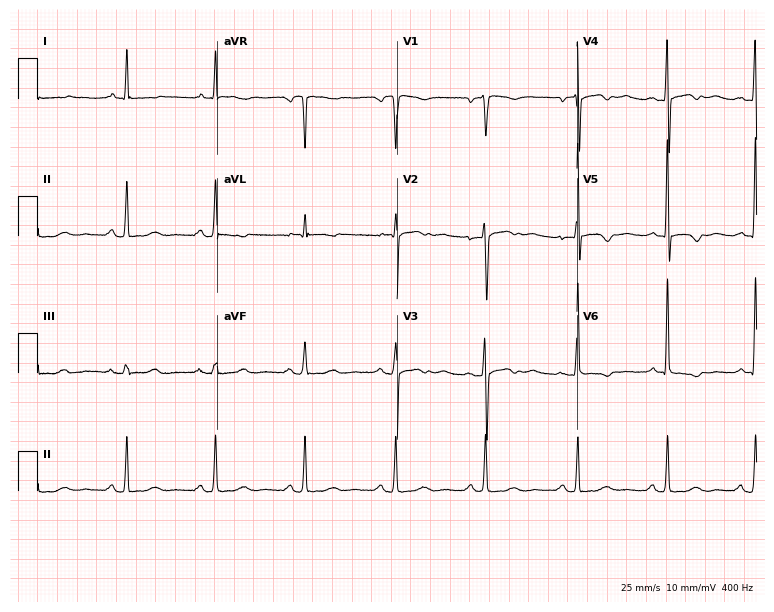
12-lead ECG from a woman, 56 years old (7.3-second recording at 400 Hz). No first-degree AV block, right bundle branch block, left bundle branch block, sinus bradycardia, atrial fibrillation or sinus tachycardia recorded for this tracing.